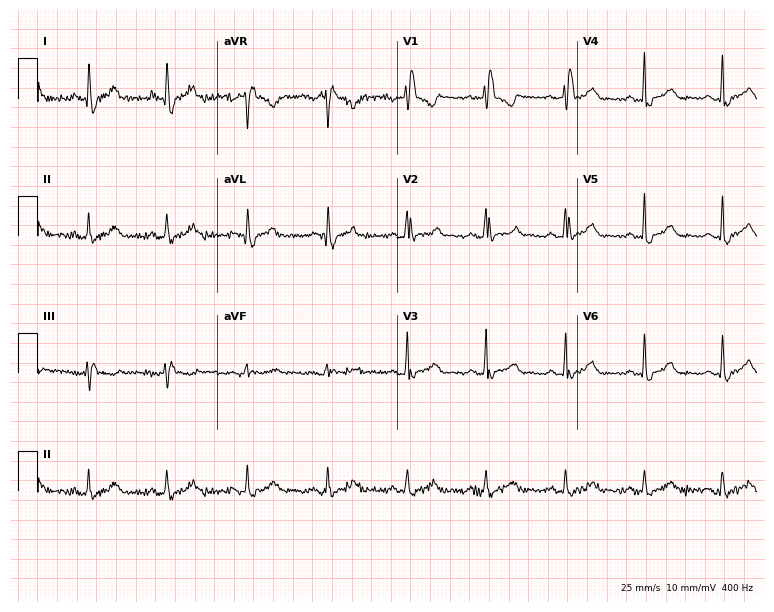
Standard 12-lead ECG recorded from a 61-year-old male (7.3-second recording at 400 Hz). The tracing shows right bundle branch block.